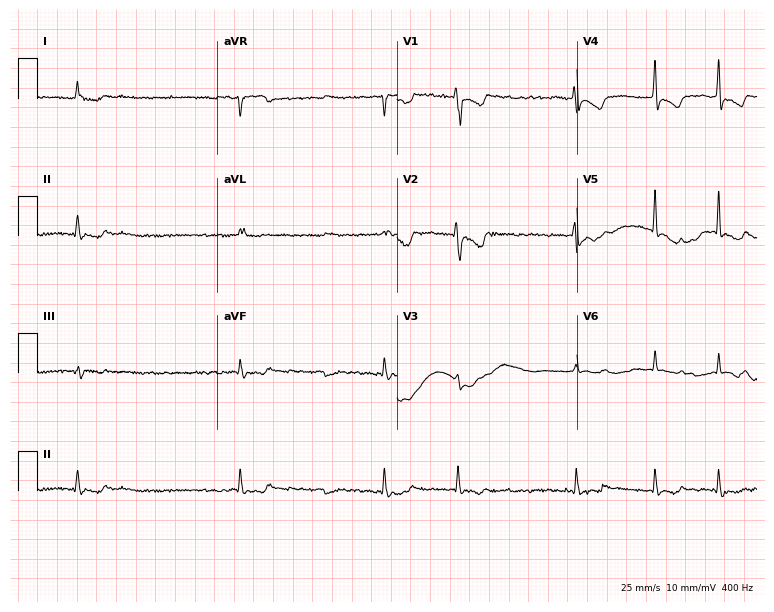
Resting 12-lead electrocardiogram (7.3-second recording at 400 Hz). Patient: a male, 65 years old. The tracing shows atrial fibrillation.